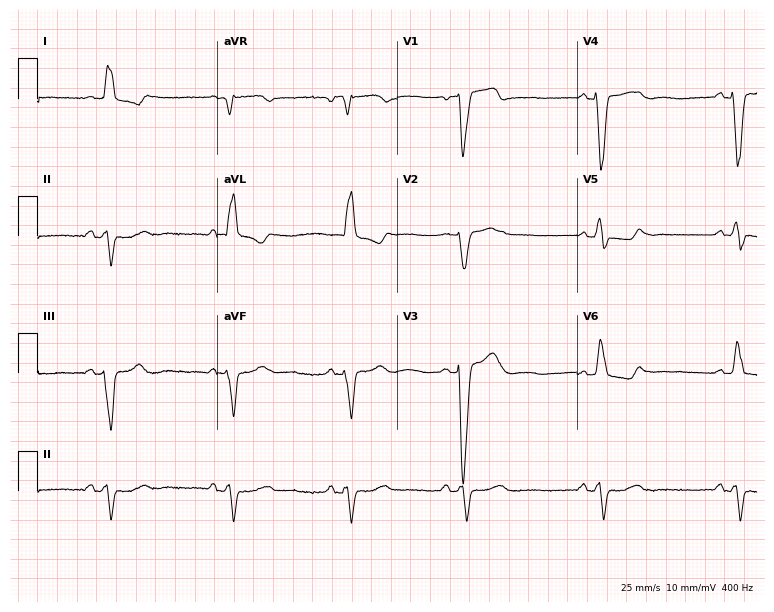
Electrocardiogram (7.3-second recording at 400 Hz), a female, 83 years old. Interpretation includes right bundle branch block (RBBB), left bundle branch block (LBBB), sinus bradycardia (a sinus rate of 50 beats per minute or less).